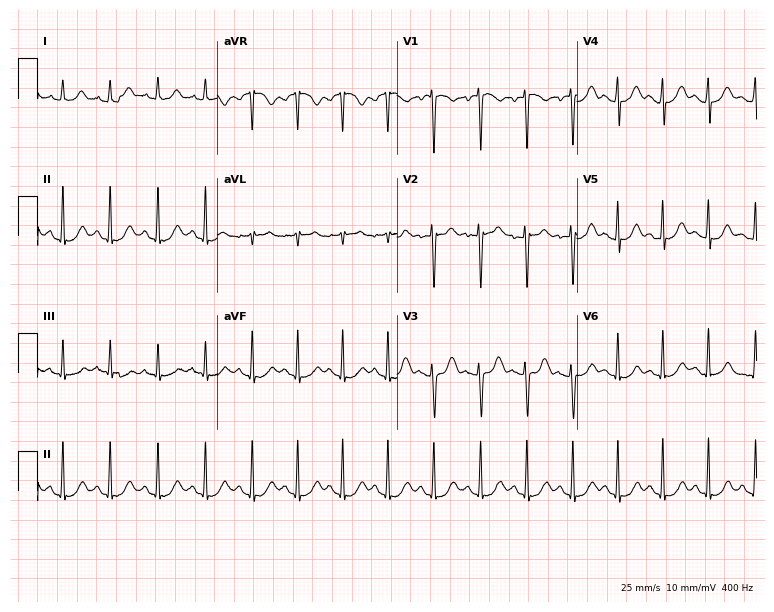
12-lead ECG from a female patient, 19 years old. Findings include sinus tachycardia (a sinus rate of 100 beats per minute or more).